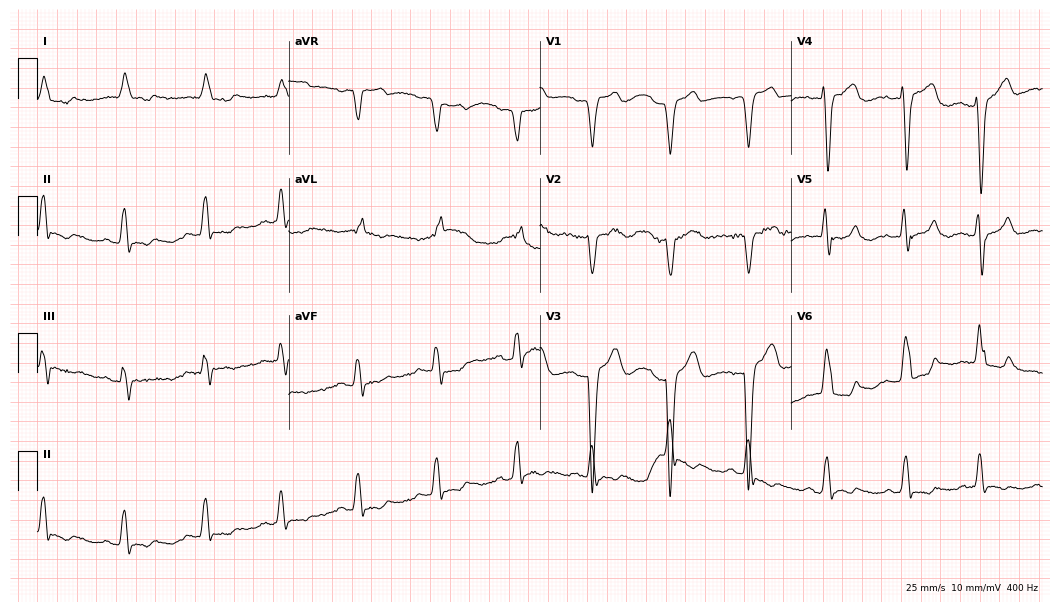
Electrocardiogram, a 76-year-old woman. Interpretation includes left bundle branch block.